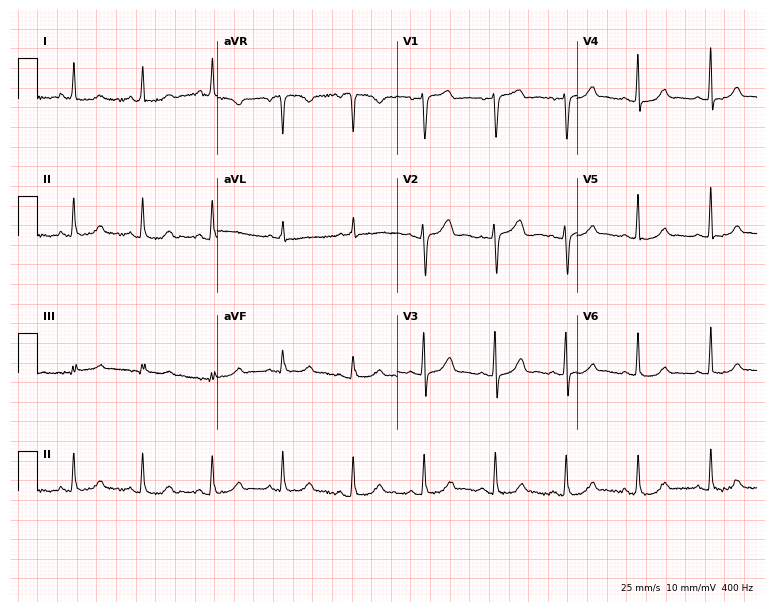
ECG (7.3-second recording at 400 Hz) — a woman, 62 years old. Labelled as a normal ECG.